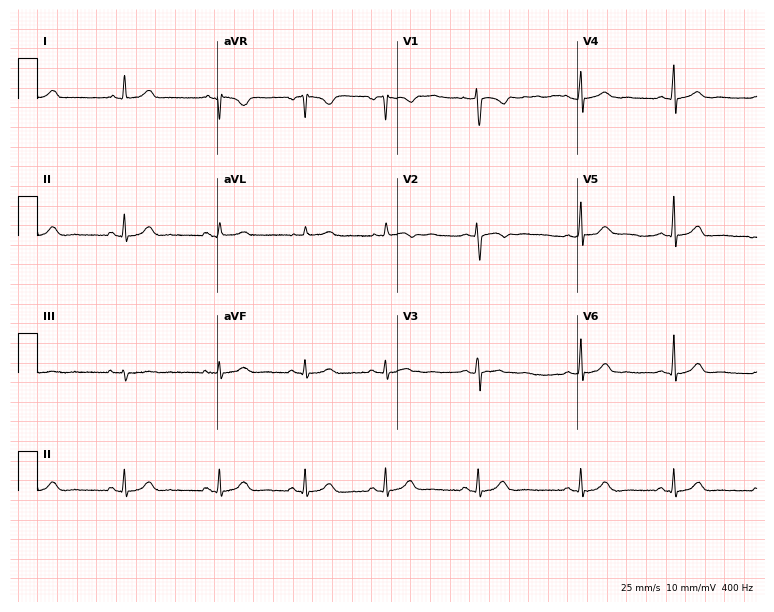
Standard 12-lead ECG recorded from a 23-year-old female patient (7.3-second recording at 400 Hz). Read as a normal ECG.